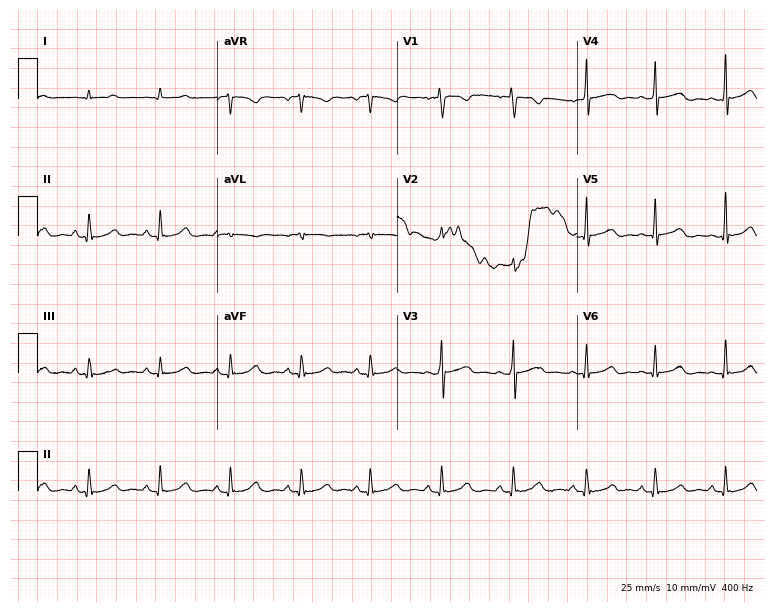
ECG (7.3-second recording at 400 Hz) — a 38-year-old male. Labelled as a normal ECG.